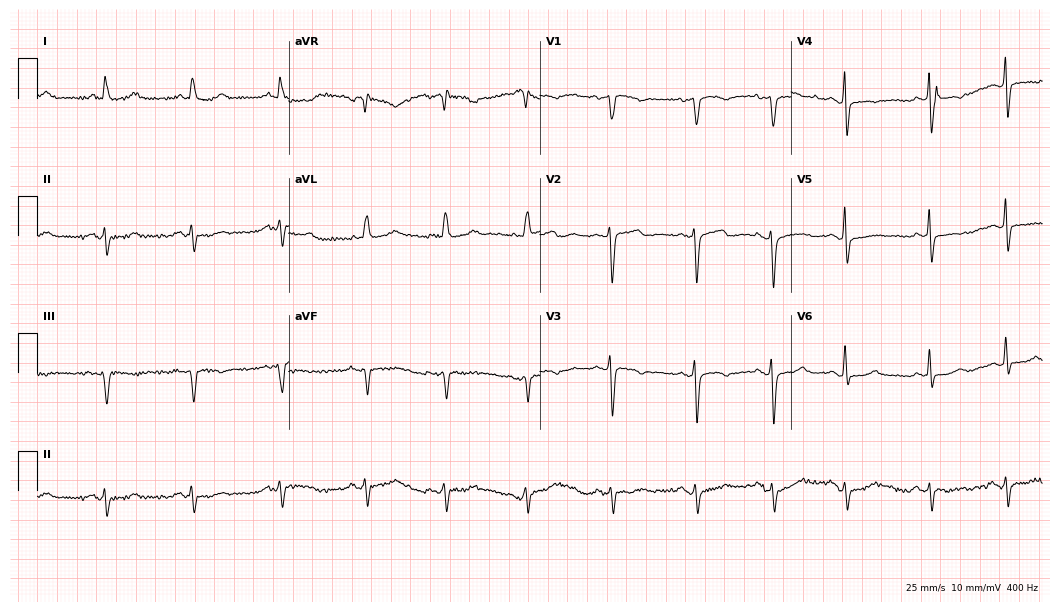
12-lead ECG from a 75-year-old female (10.2-second recording at 400 Hz). No first-degree AV block, right bundle branch block, left bundle branch block, sinus bradycardia, atrial fibrillation or sinus tachycardia recorded for this tracing.